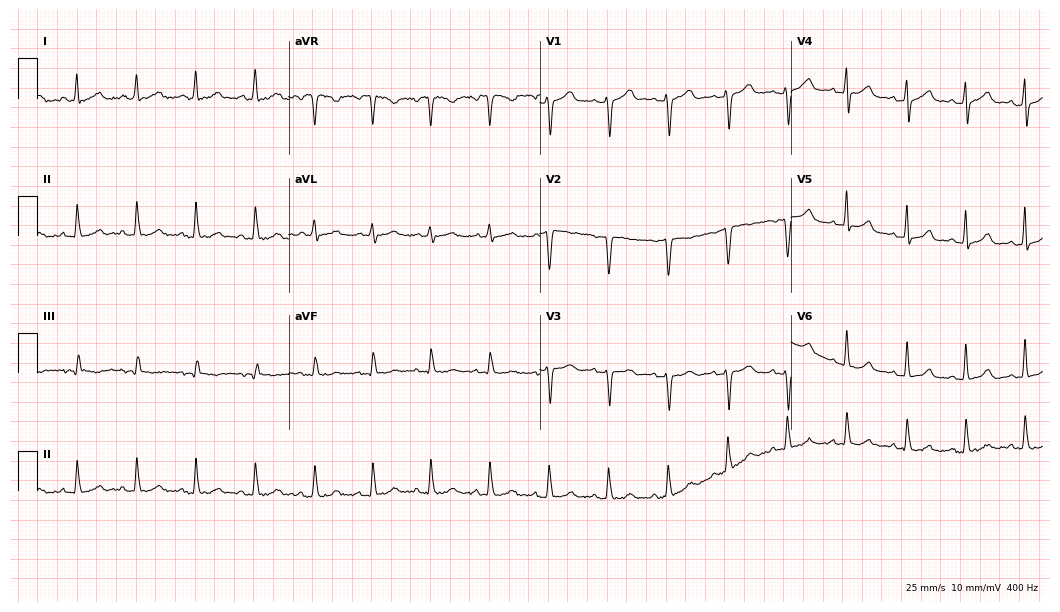
12-lead ECG from a female, 42 years old (10.2-second recording at 400 Hz). Recorded interpretation: within normal limits.